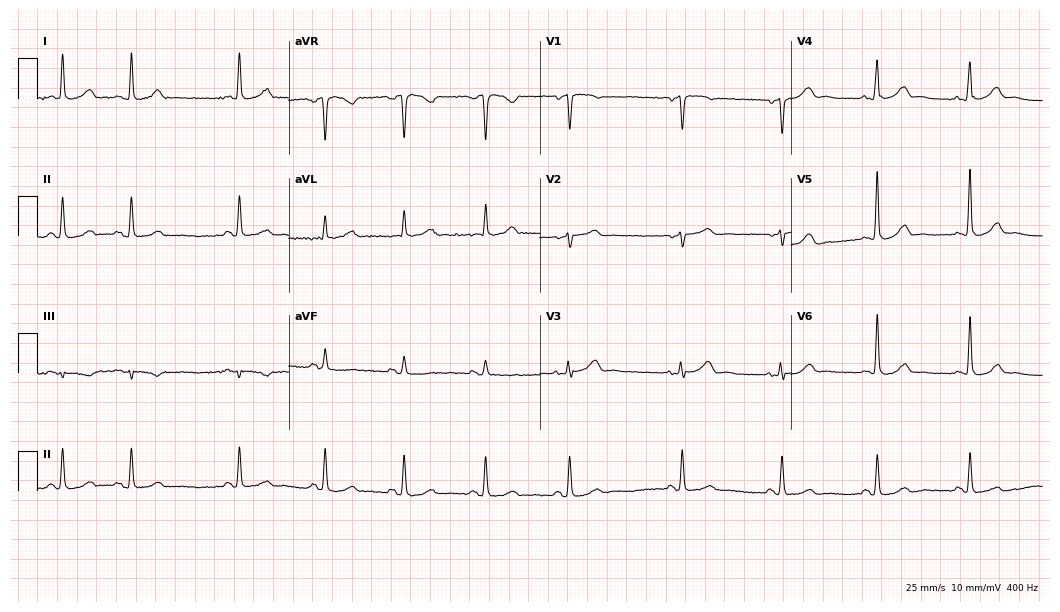
ECG (10.2-second recording at 400 Hz) — a female, 63 years old. Labelled as a normal ECG.